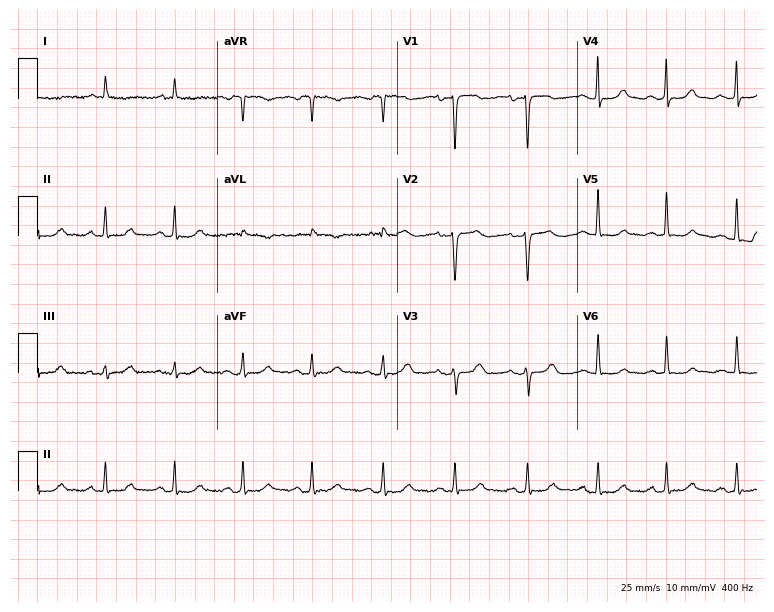
ECG — a 77-year-old female. Screened for six findings — first-degree AV block, right bundle branch block, left bundle branch block, sinus bradycardia, atrial fibrillation, sinus tachycardia — none is recorded. Only these six findings were labelled.